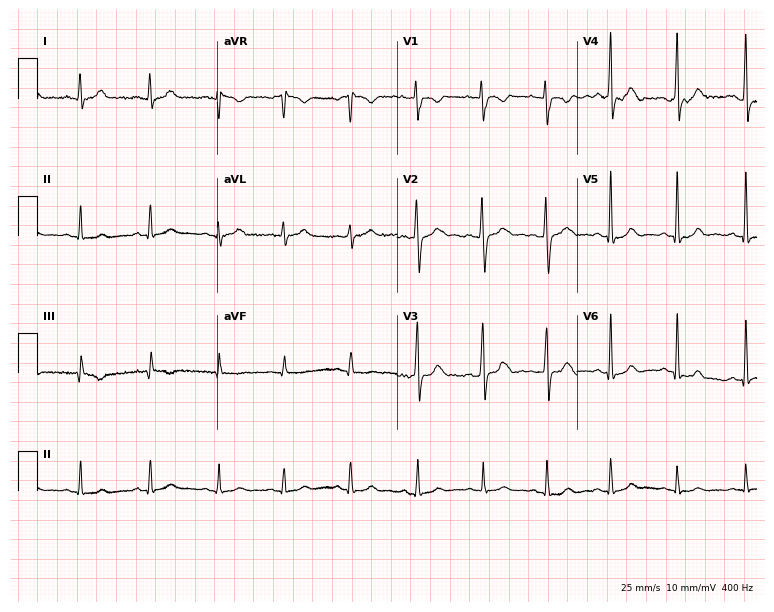
Resting 12-lead electrocardiogram (7.3-second recording at 400 Hz). Patient: a female, 27 years old. Read as a normal ECG.